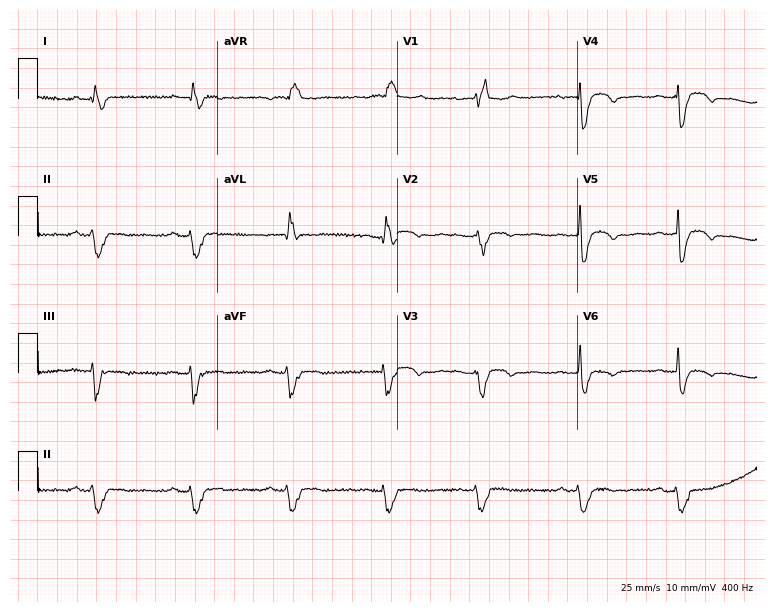
ECG — a female patient, 82 years old. Findings include first-degree AV block, right bundle branch block.